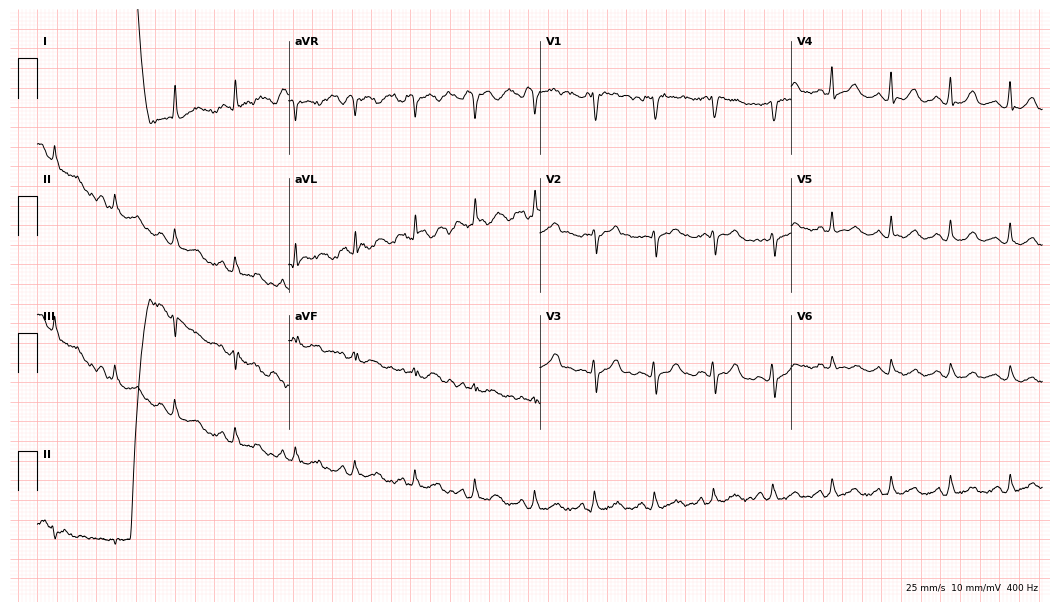
Electrocardiogram (10.2-second recording at 400 Hz), a female, 58 years old. Of the six screened findings (first-degree AV block, right bundle branch block, left bundle branch block, sinus bradycardia, atrial fibrillation, sinus tachycardia), none is recorded. Only these six findings were labelled.